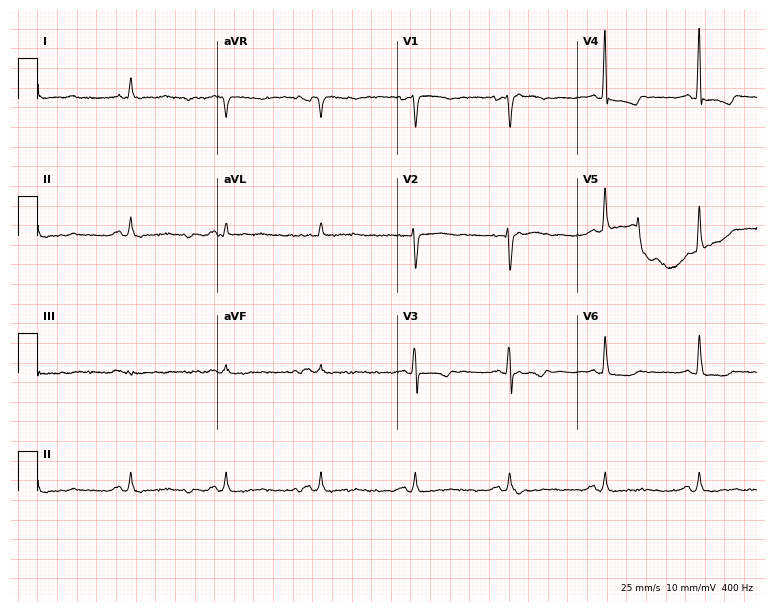
Standard 12-lead ECG recorded from a man, 71 years old. None of these six findings is recorded: first-degree AV block, right bundle branch block (RBBB), left bundle branch block (LBBB), sinus bradycardia, atrial fibrillation (AF), sinus tachycardia.